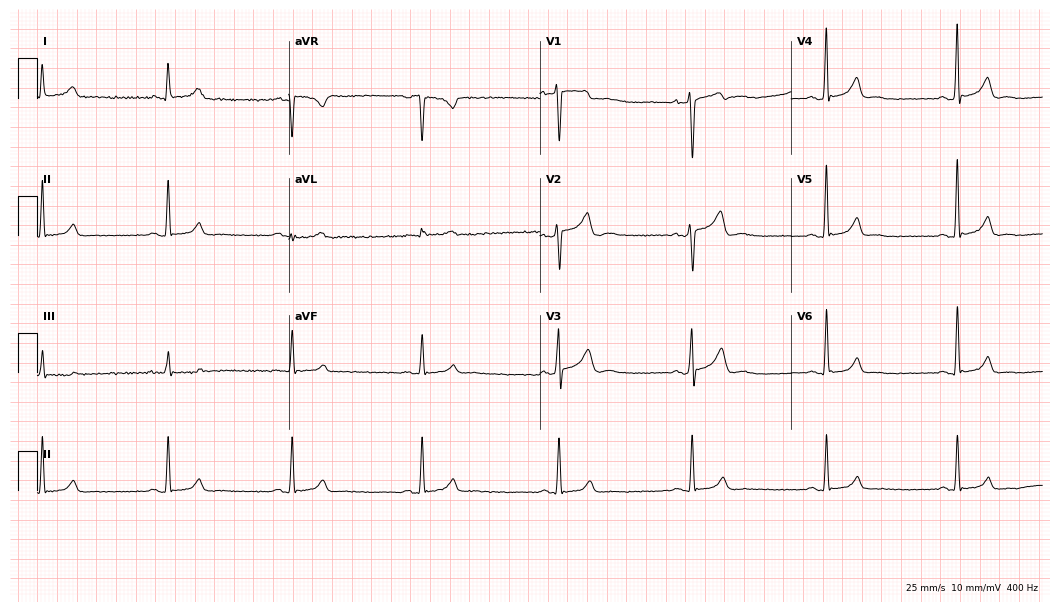
Standard 12-lead ECG recorded from a male patient, 38 years old (10.2-second recording at 400 Hz). None of these six findings is recorded: first-degree AV block, right bundle branch block (RBBB), left bundle branch block (LBBB), sinus bradycardia, atrial fibrillation (AF), sinus tachycardia.